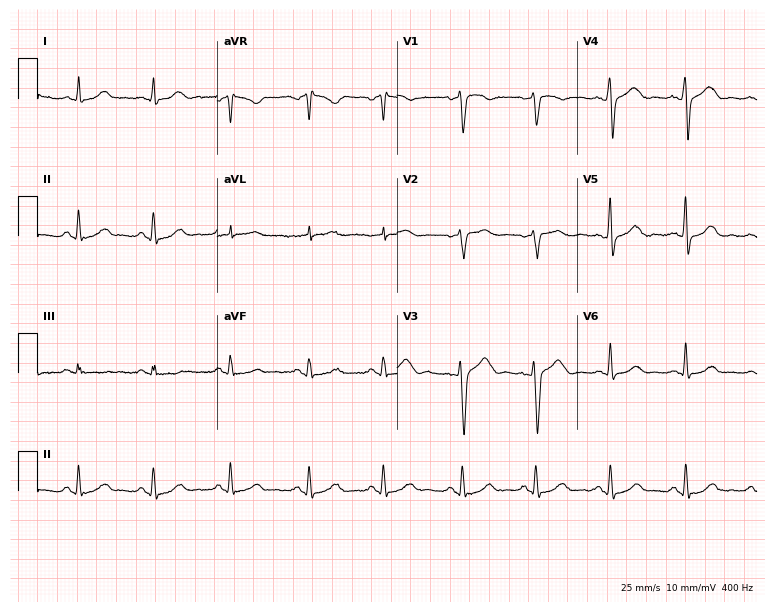
ECG (7.3-second recording at 400 Hz) — a 51-year-old female. Labelled as a normal ECG.